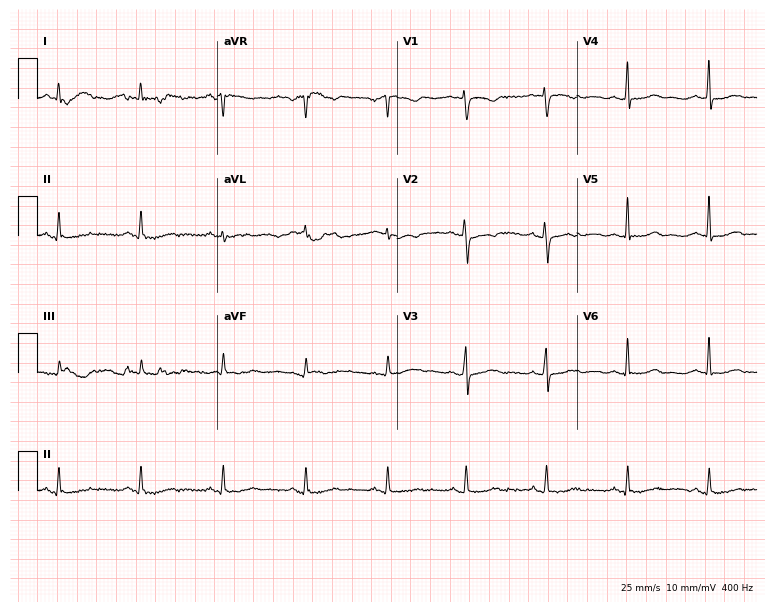
Standard 12-lead ECG recorded from a female patient, 50 years old. None of these six findings is recorded: first-degree AV block, right bundle branch block, left bundle branch block, sinus bradycardia, atrial fibrillation, sinus tachycardia. Other findings, if any, are not listed.